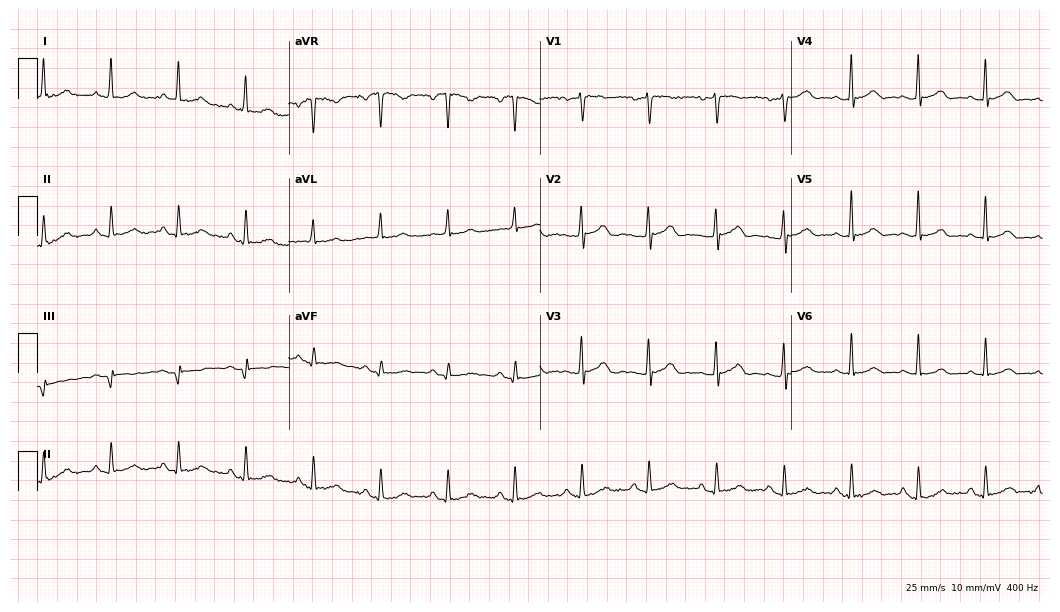
12-lead ECG from a 60-year-old woman. Recorded interpretation: within normal limits.